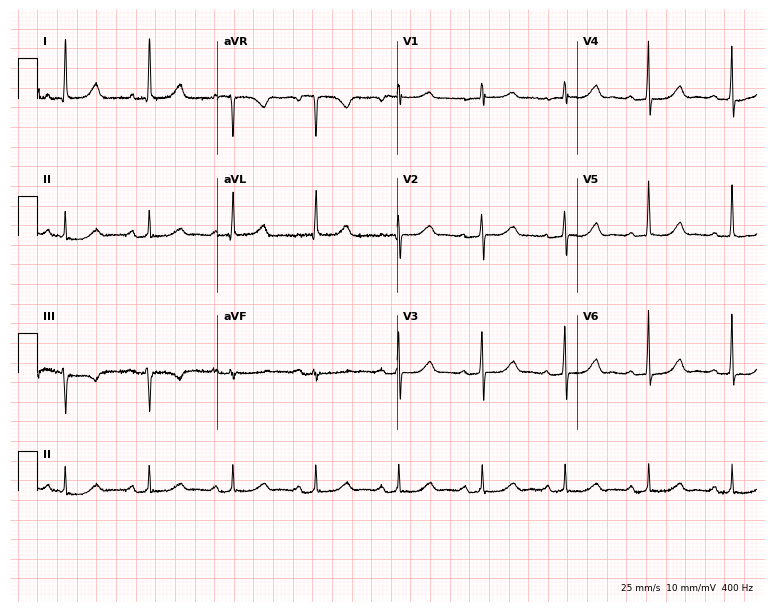
ECG — a 57-year-old female. Screened for six findings — first-degree AV block, right bundle branch block (RBBB), left bundle branch block (LBBB), sinus bradycardia, atrial fibrillation (AF), sinus tachycardia — none is recorded.